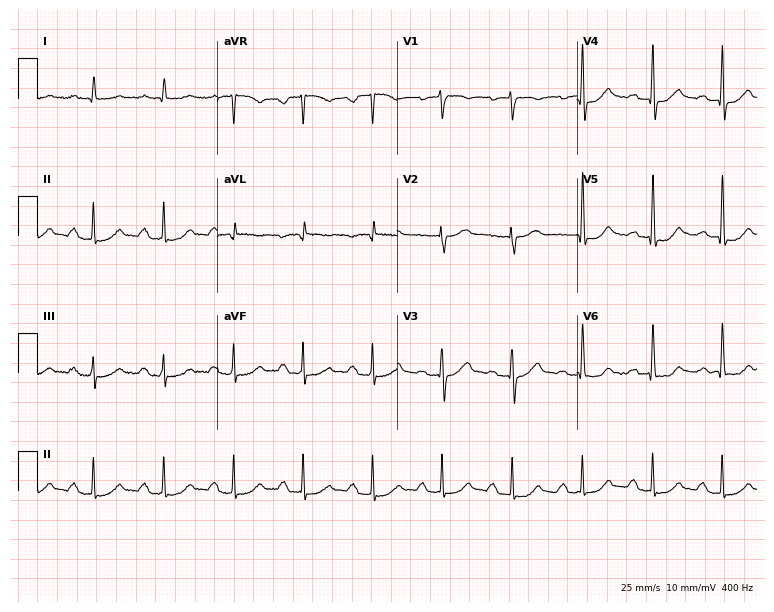
Electrocardiogram, a 72-year-old male. Interpretation includes first-degree AV block.